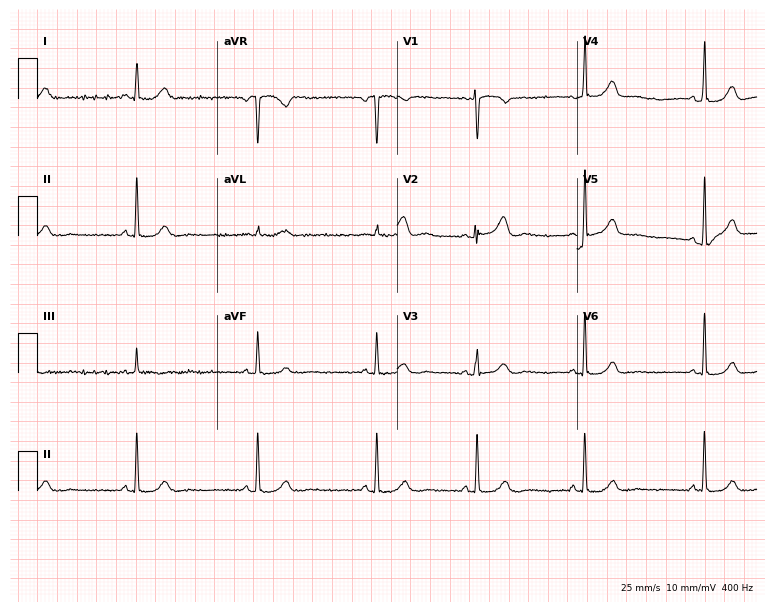
12-lead ECG (7.3-second recording at 400 Hz) from a 53-year-old female. Screened for six findings — first-degree AV block, right bundle branch block, left bundle branch block, sinus bradycardia, atrial fibrillation, sinus tachycardia — none is recorded. Only these six findings were labelled.